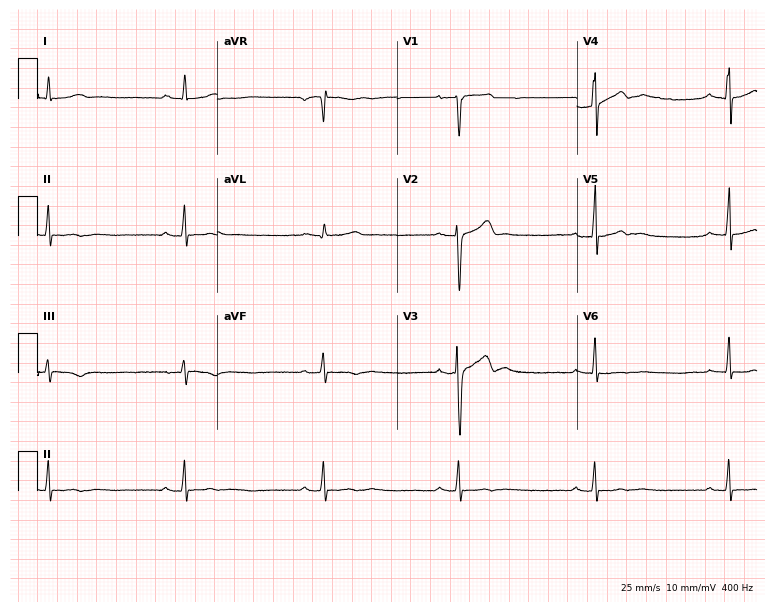
Standard 12-lead ECG recorded from a 30-year-old male. The tracing shows sinus bradycardia (a sinus rate of 50 beats per minute or less).